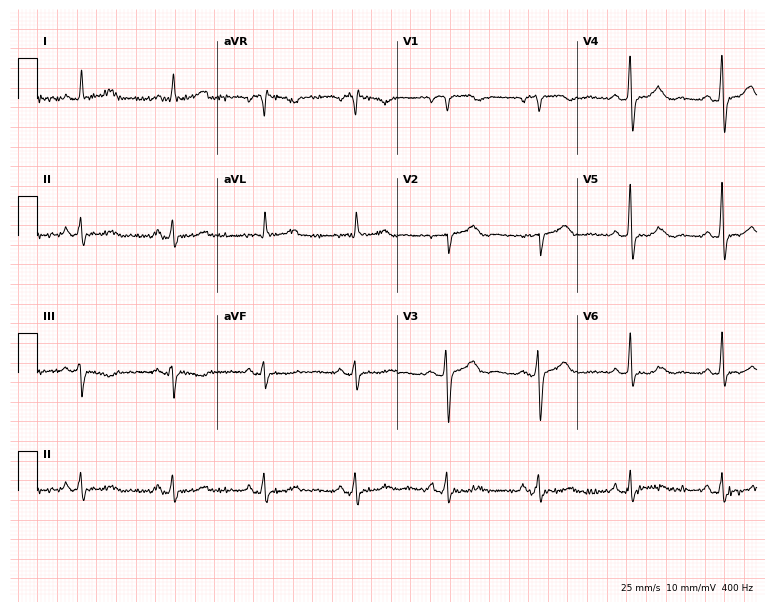
12-lead ECG from a 66-year-old female. Screened for six findings — first-degree AV block, right bundle branch block, left bundle branch block, sinus bradycardia, atrial fibrillation, sinus tachycardia — none is recorded. Findings outside these six are not listed.